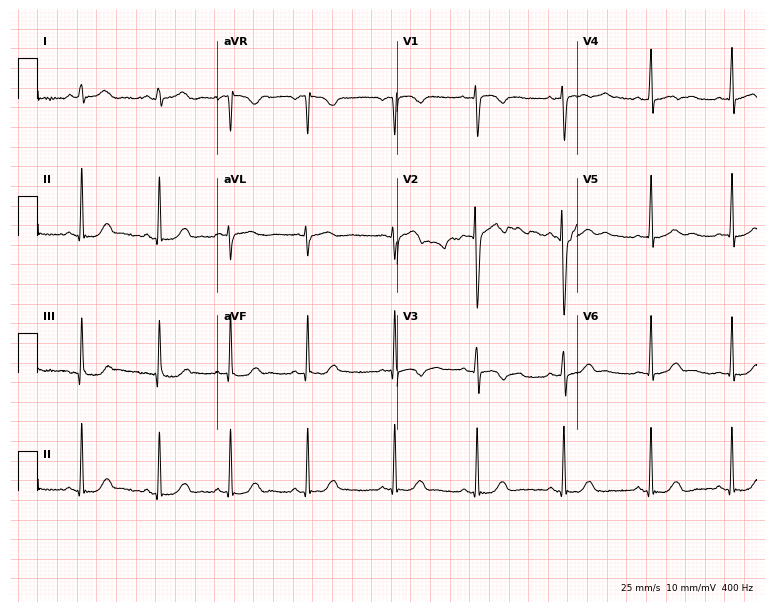
12-lead ECG from a 19-year-old woman. Labelled as a normal ECG.